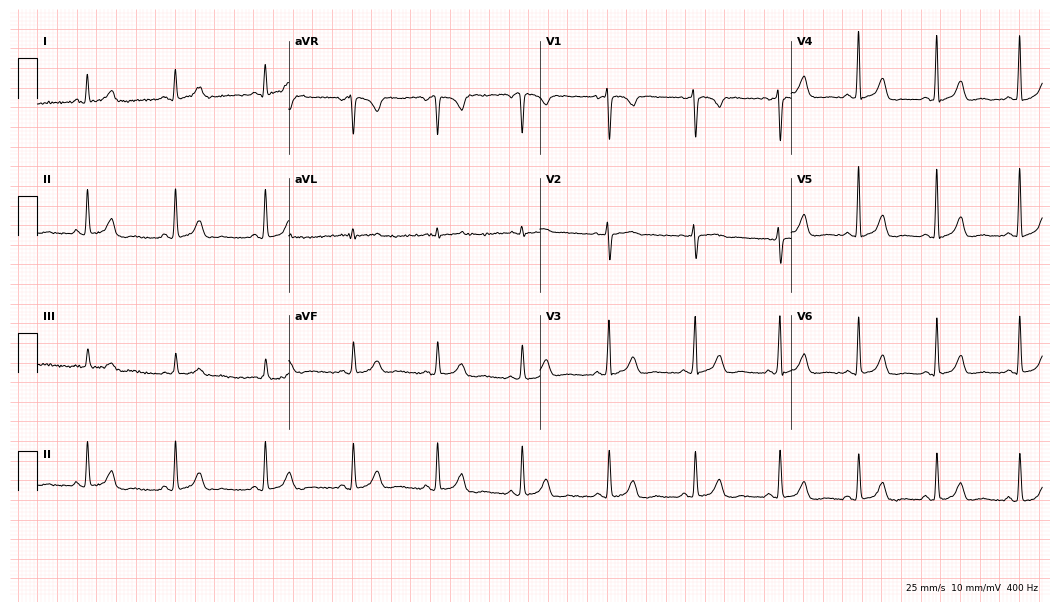
12-lead ECG from a 45-year-old female patient (10.2-second recording at 400 Hz). Recorded interpretation: within normal limits.